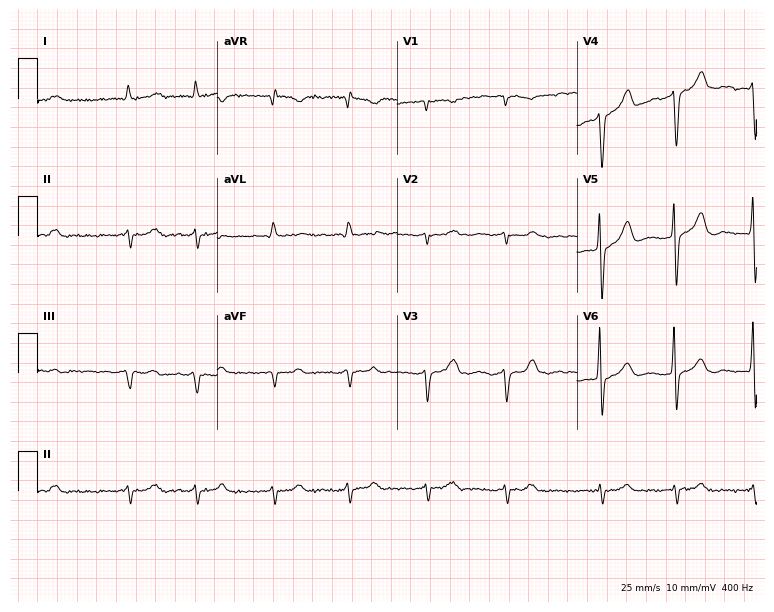
Standard 12-lead ECG recorded from a male patient, 73 years old (7.3-second recording at 400 Hz). None of these six findings is recorded: first-degree AV block, right bundle branch block (RBBB), left bundle branch block (LBBB), sinus bradycardia, atrial fibrillation (AF), sinus tachycardia.